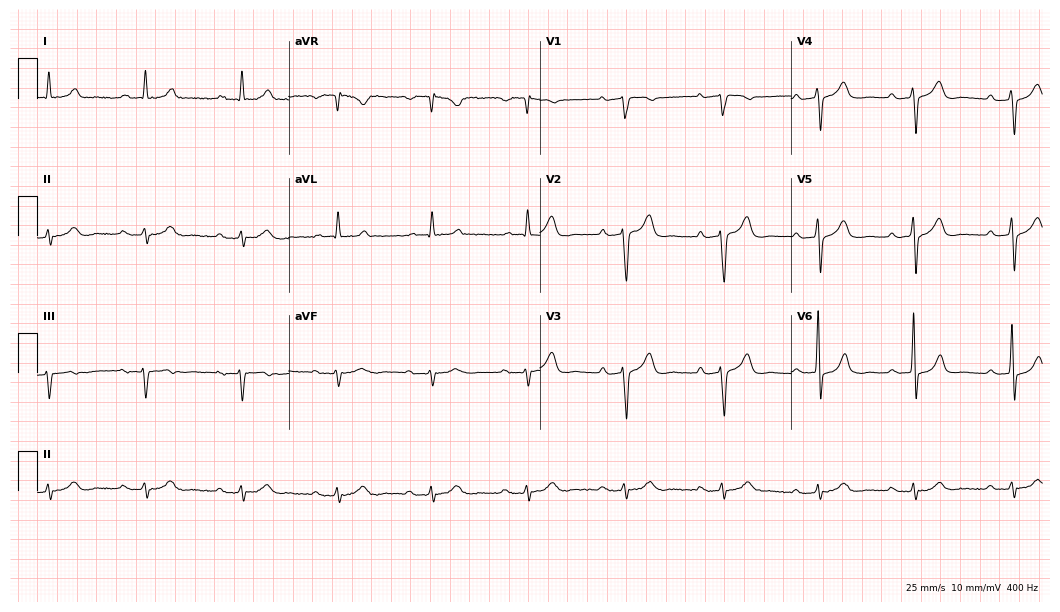
Standard 12-lead ECG recorded from a male patient, 78 years old (10.2-second recording at 400 Hz). The tracing shows first-degree AV block.